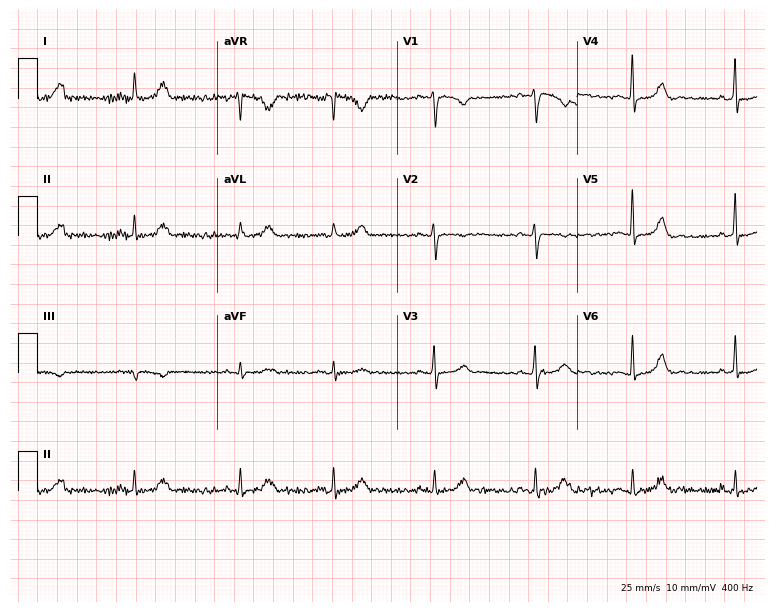
12-lead ECG from a 32-year-old female patient. Recorded interpretation: within normal limits.